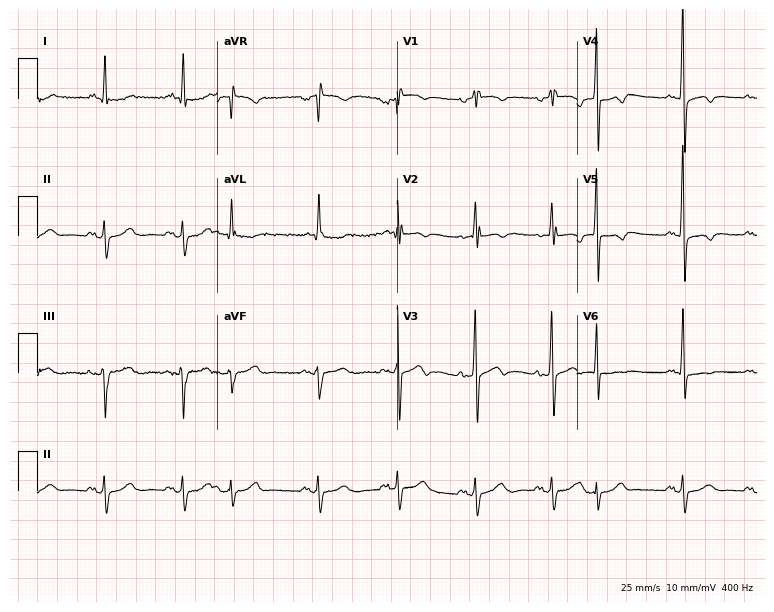
Electrocardiogram, an 81-year-old woman. Of the six screened findings (first-degree AV block, right bundle branch block, left bundle branch block, sinus bradycardia, atrial fibrillation, sinus tachycardia), none is recorded.